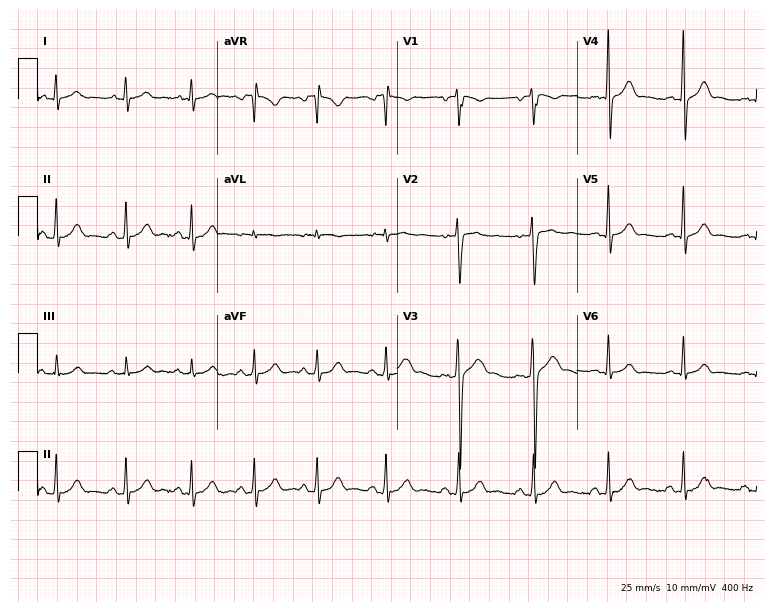
ECG (7.3-second recording at 400 Hz) — a 17-year-old male patient. Labelled as a normal ECG.